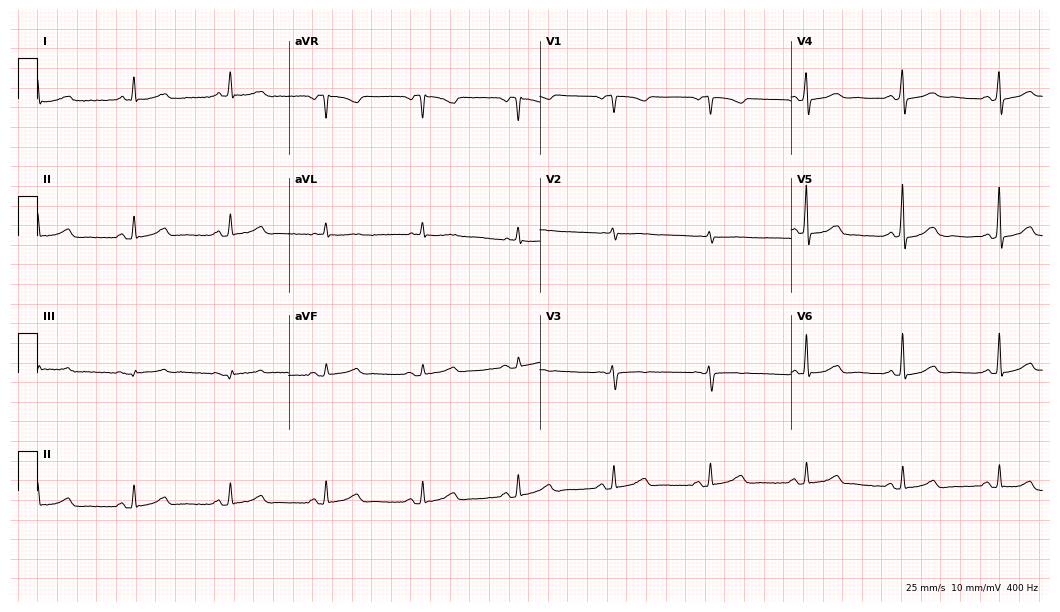
12-lead ECG from a woman, 73 years old. Recorded interpretation: within normal limits.